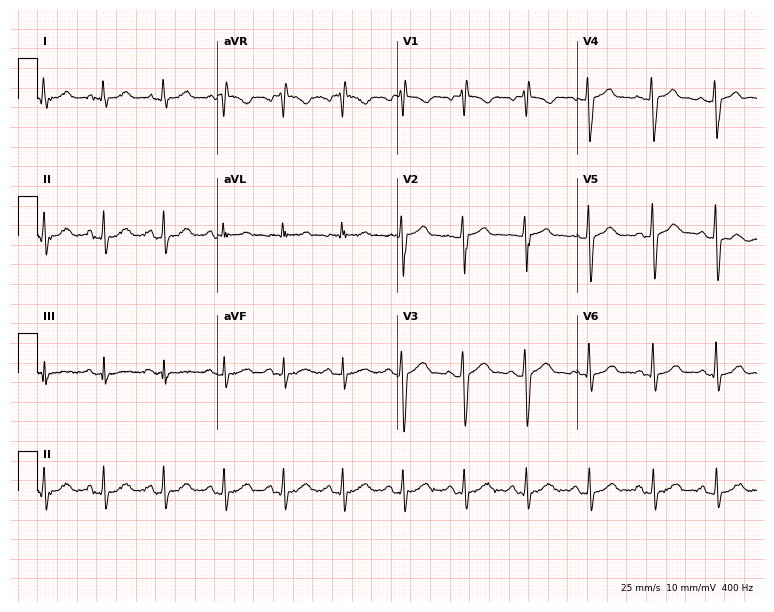
12-lead ECG from a man, 54 years old (7.3-second recording at 400 Hz). No first-degree AV block, right bundle branch block, left bundle branch block, sinus bradycardia, atrial fibrillation or sinus tachycardia recorded for this tracing.